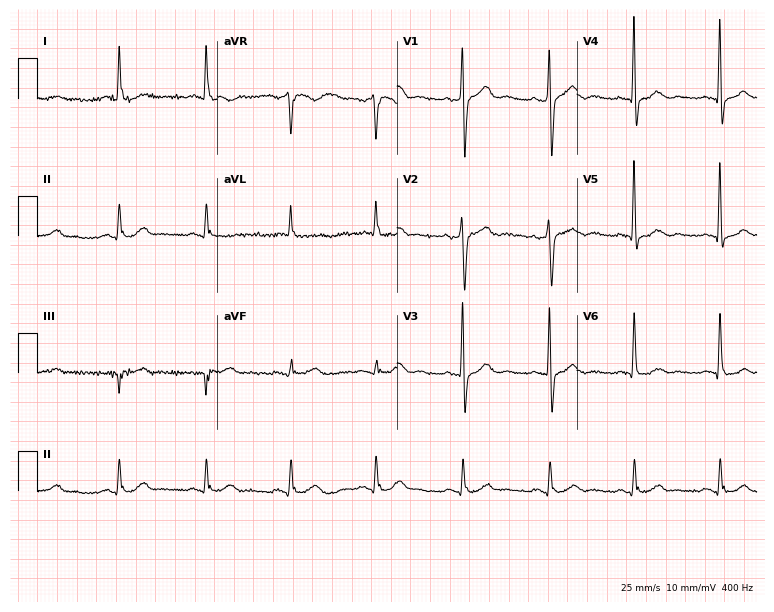
12-lead ECG (7.3-second recording at 400 Hz) from a male, 61 years old. Labelled as a normal ECG.